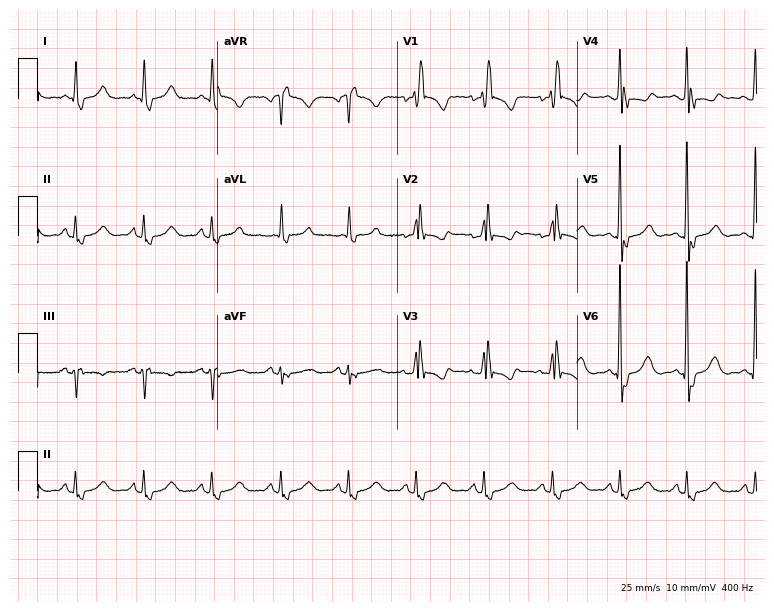
ECG — a female, 76 years old. Findings include right bundle branch block (RBBB).